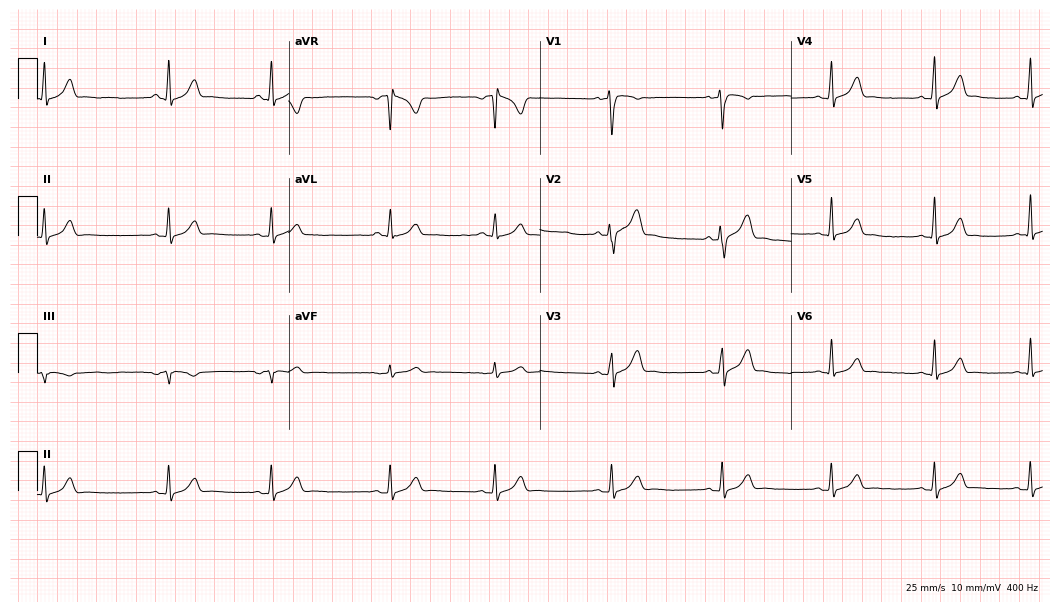
ECG — a 22-year-old male. Labelled as a normal ECG.